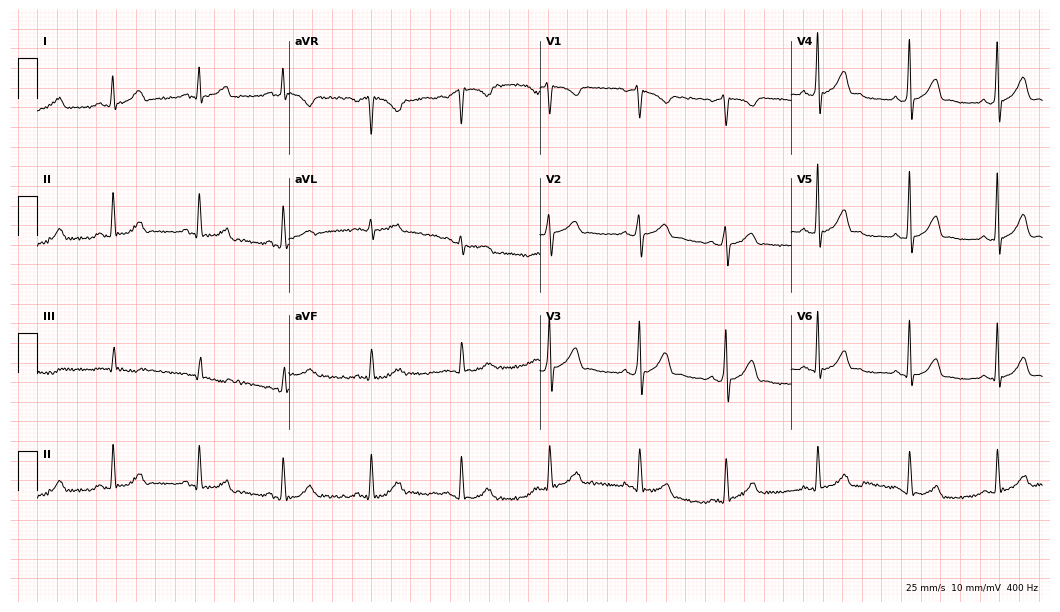
Resting 12-lead electrocardiogram. Patient: a male, 34 years old. Read as a normal ECG.